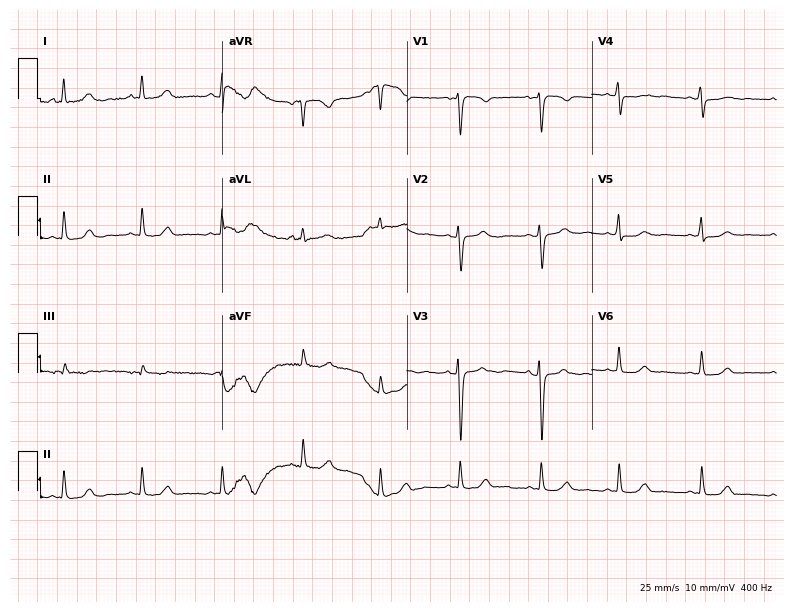
Resting 12-lead electrocardiogram (7.5-second recording at 400 Hz). Patient: a female, 45 years old. None of these six findings is recorded: first-degree AV block, right bundle branch block, left bundle branch block, sinus bradycardia, atrial fibrillation, sinus tachycardia.